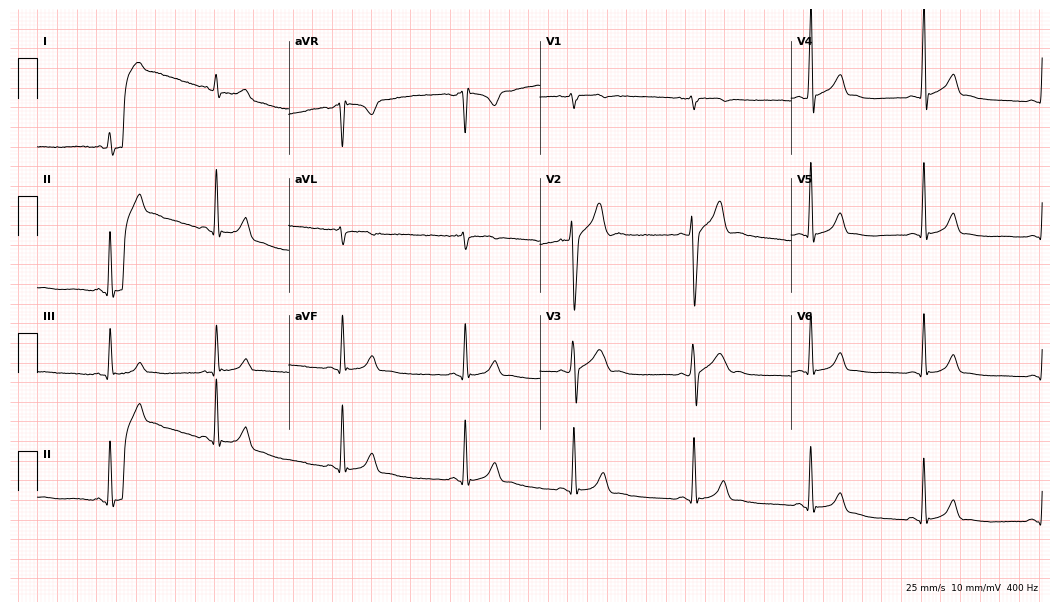
Resting 12-lead electrocardiogram (10.2-second recording at 400 Hz). Patient: a male, 26 years old. None of these six findings is recorded: first-degree AV block, right bundle branch block, left bundle branch block, sinus bradycardia, atrial fibrillation, sinus tachycardia. Other findings, if any, are not listed.